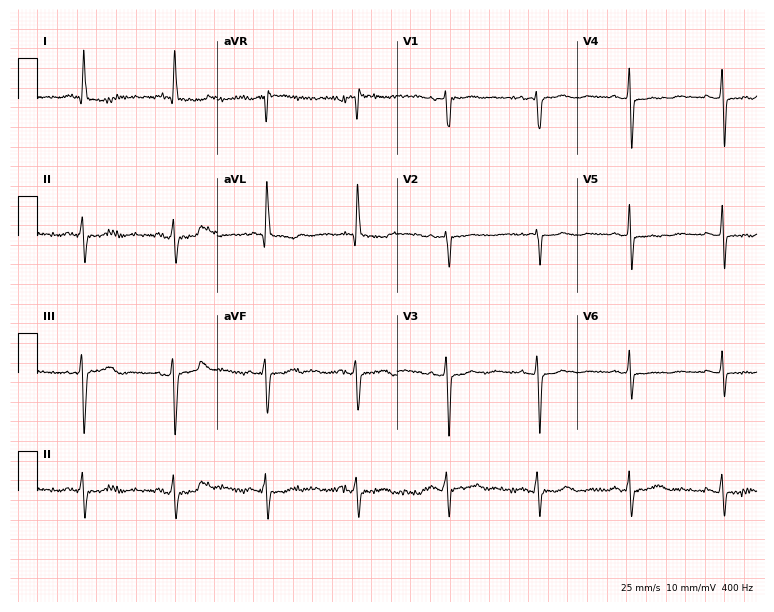
Resting 12-lead electrocardiogram. Patient: a female, 75 years old. None of these six findings is recorded: first-degree AV block, right bundle branch block (RBBB), left bundle branch block (LBBB), sinus bradycardia, atrial fibrillation (AF), sinus tachycardia.